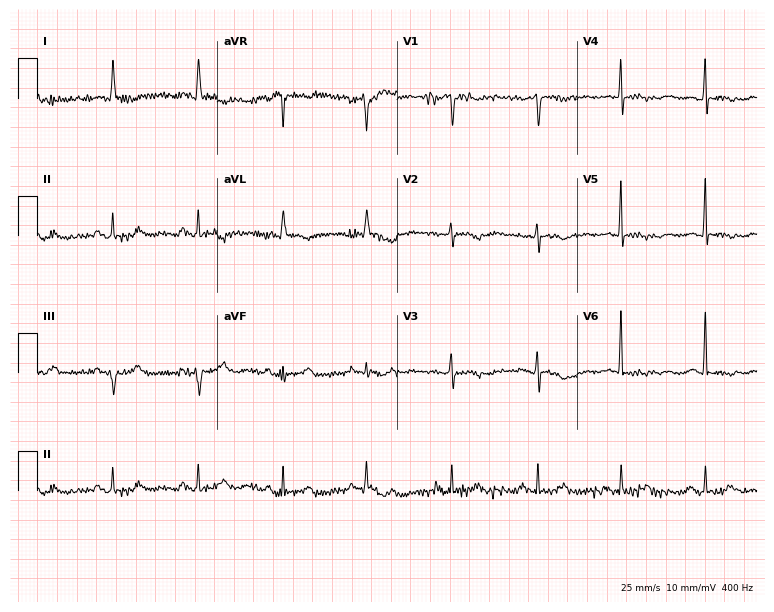
12-lead ECG from a 77-year-old female patient (7.3-second recording at 400 Hz). No first-degree AV block, right bundle branch block (RBBB), left bundle branch block (LBBB), sinus bradycardia, atrial fibrillation (AF) or sinus tachycardia recorded for this tracing. Only these six findings were labelled.